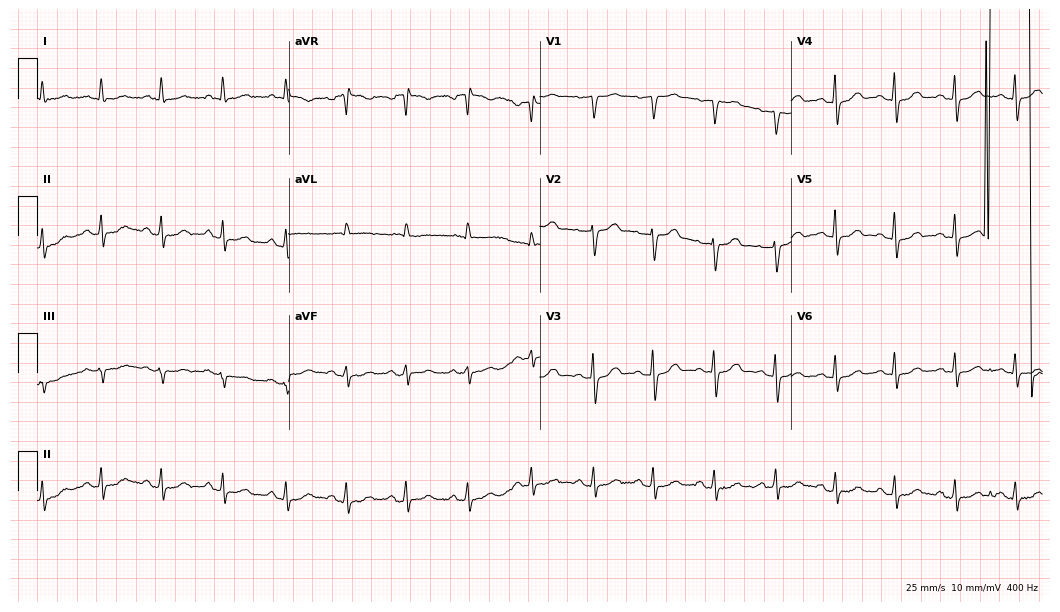
Electrocardiogram (10.2-second recording at 400 Hz), a 63-year-old male patient. Of the six screened findings (first-degree AV block, right bundle branch block, left bundle branch block, sinus bradycardia, atrial fibrillation, sinus tachycardia), none is recorded.